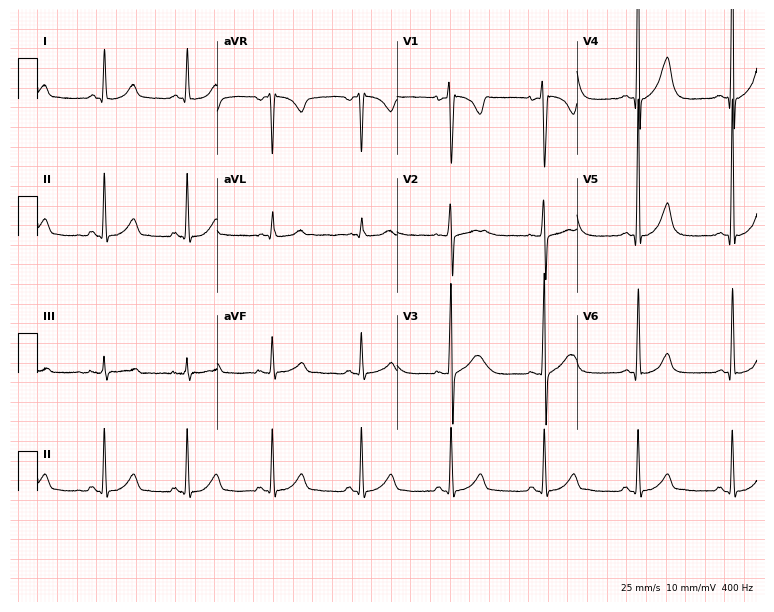
Standard 12-lead ECG recorded from a 17-year-old man. Read as a normal ECG.